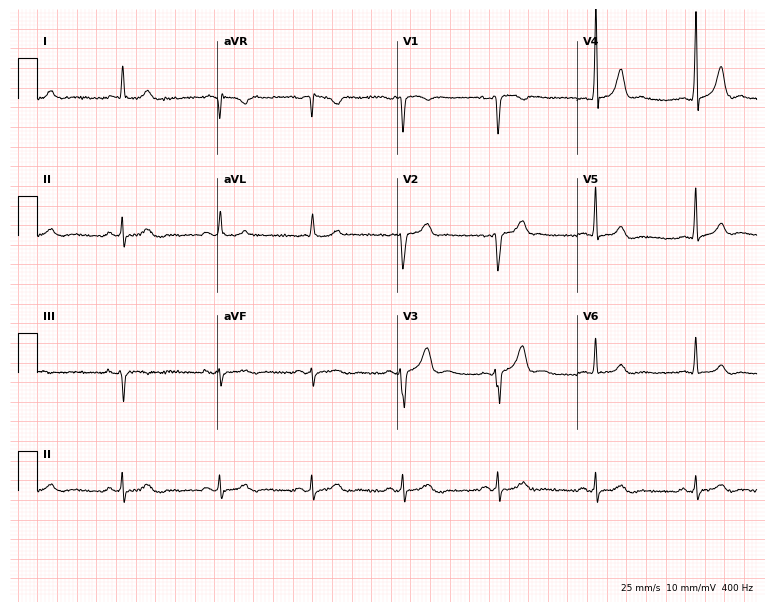
Standard 12-lead ECG recorded from a male patient, 51 years old (7.3-second recording at 400 Hz). Read as a normal ECG.